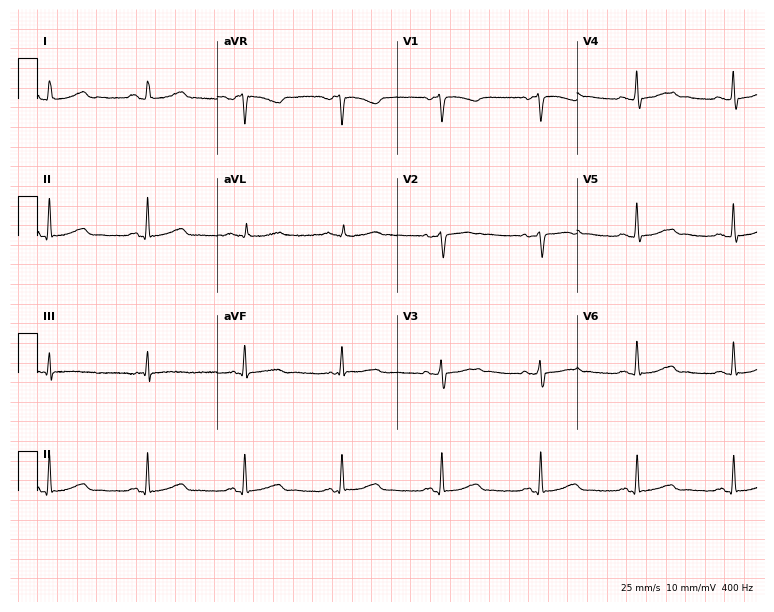
12-lead ECG from a 51-year-old female patient (7.3-second recording at 400 Hz). Recorded interpretation: within normal limits.